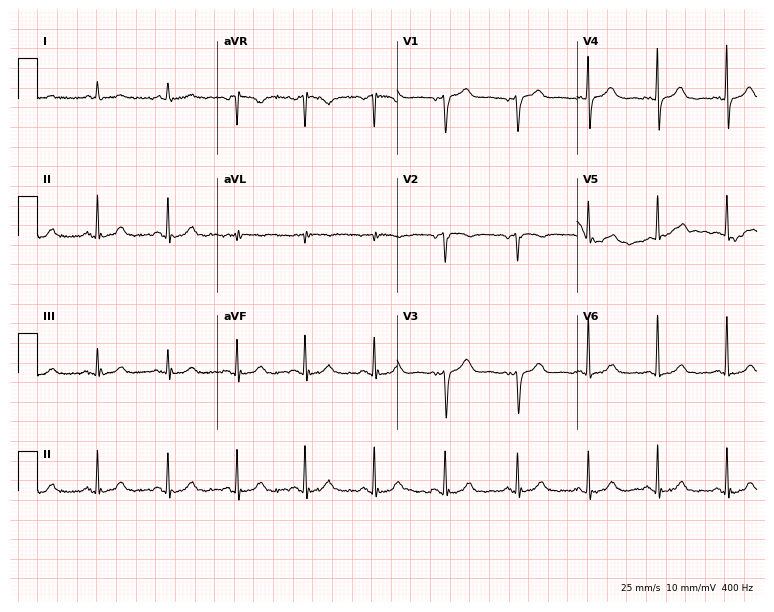
ECG (7.3-second recording at 400 Hz) — an 81-year-old woman. Screened for six findings — first-degree AV block, right bundle branch block, left bundle branch block, sinus bradycardia, atrial fibrillation, sinus tachycardia — none is recorded. Only these six findings were labelled.